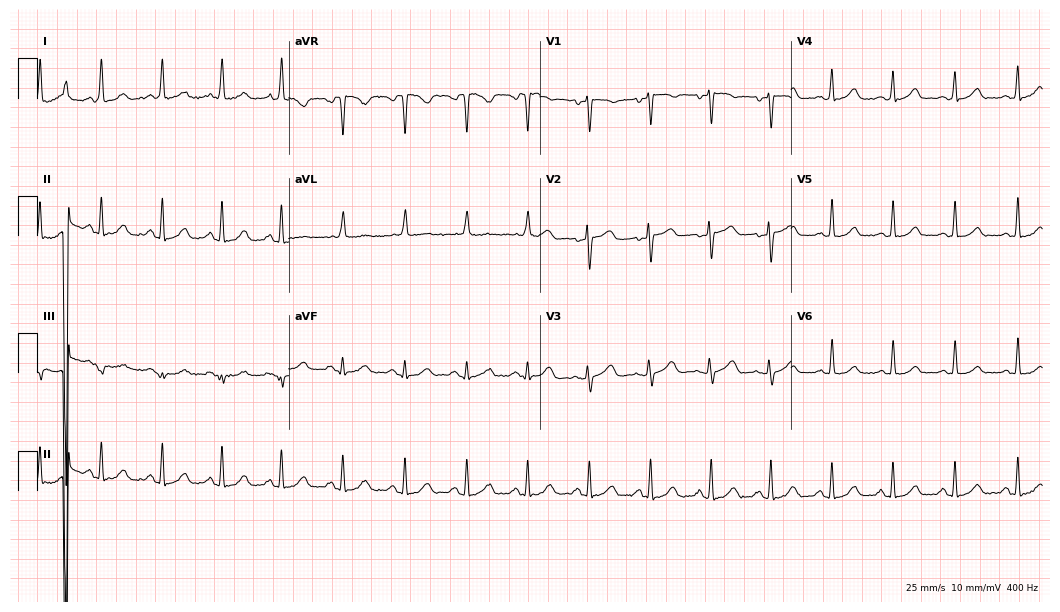
Resting 12-lead electrocardiogram (10.2-second recording at 400 Hz). Patient: a female, 62 years old. Read as a normal ECG.